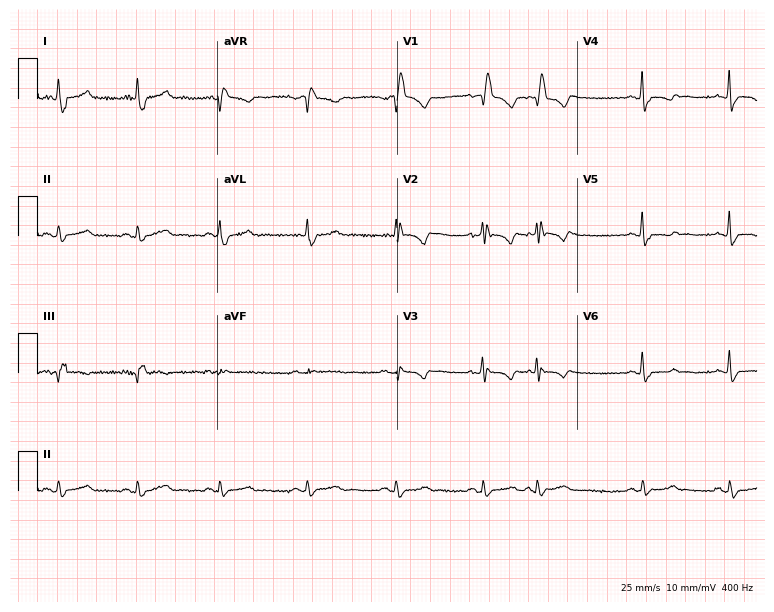
12-lead ECG from a 62-year-old woman. Findings include right bundle branch block.